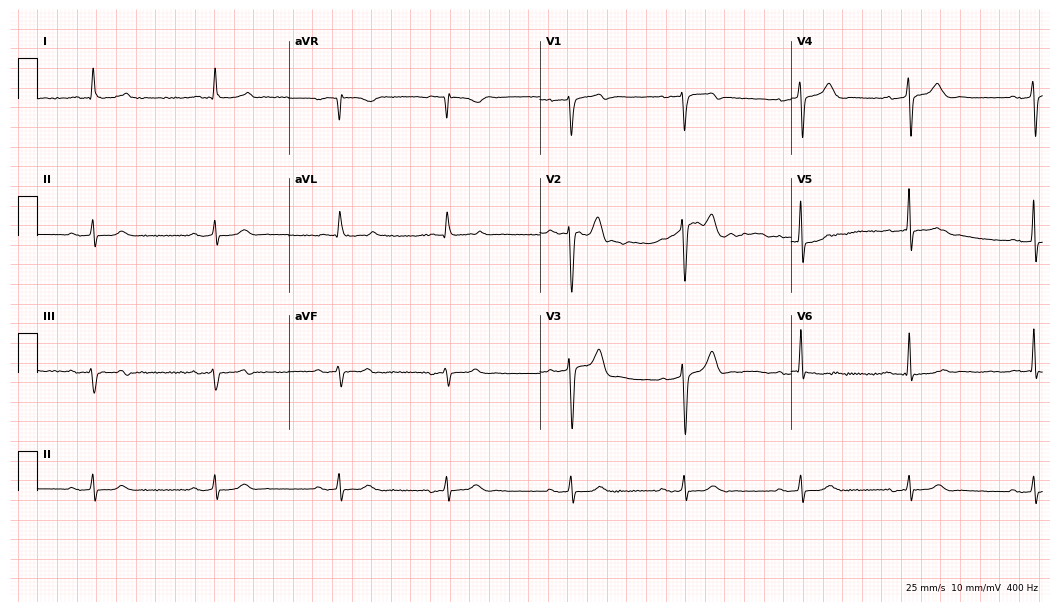
Resting 12-lead electrocardiogram. Patient: a male, 77 years old. The tracing shows sinus bradycardia (a sinus rate of 50 beats per minute or less).